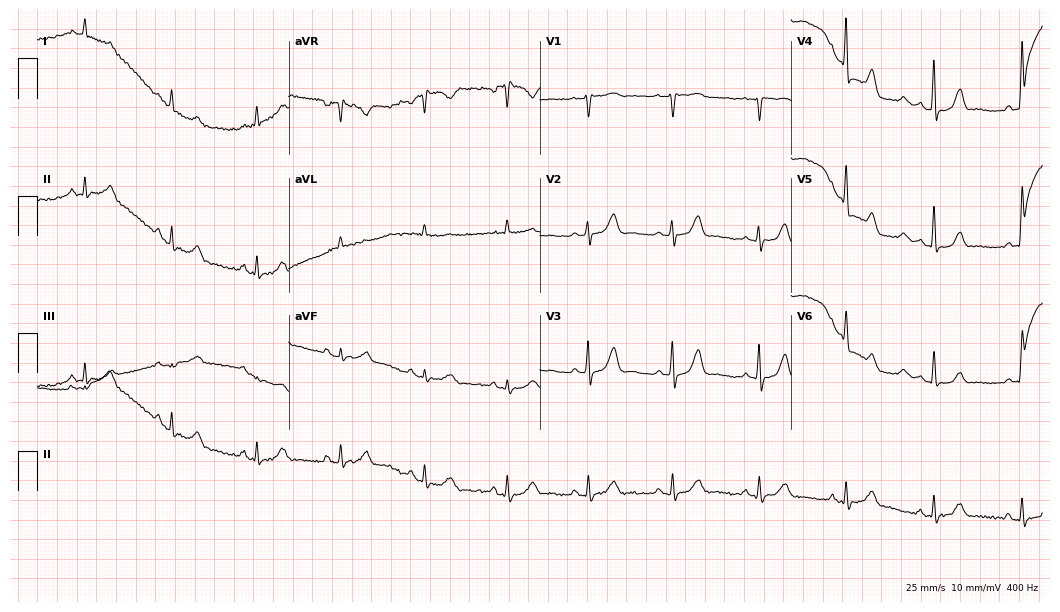
Electrocardiogram, a female patient, 54 years old. Of the six screened findings (first-degree AV block, right bundle branch block, left bundle branch block, sinus bradycardia, atrial fibrillation, sinus tachycardia), none is recorded.